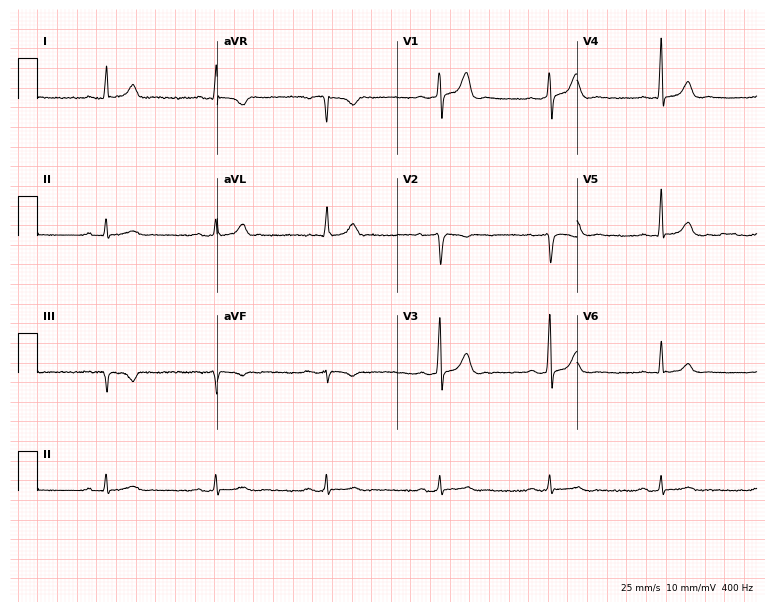
Standard 12-lead ECG recorded from a male patient, 46 years old (7.3-second recording at 400 Hz). None of these six findings is recorded: first-degree AV block, right bundle branch block, left bundle branch block, sinus bradycardia, atrial fibrillation, sinus tachycardia. Other findings, if any, are not listed.